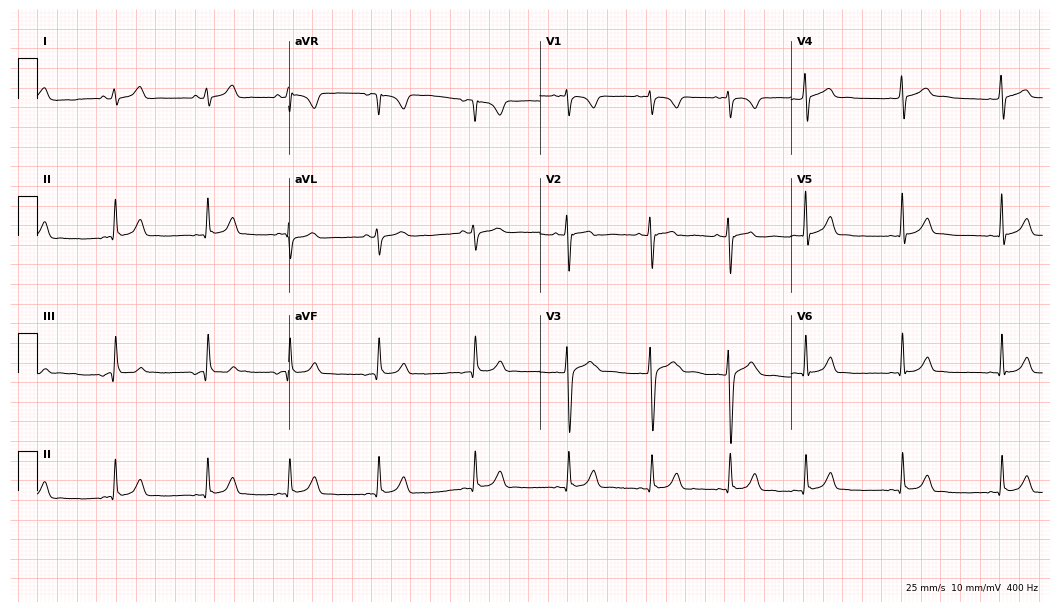
ECG — a 17-year-old male patient. Labelled as a normal ECG.